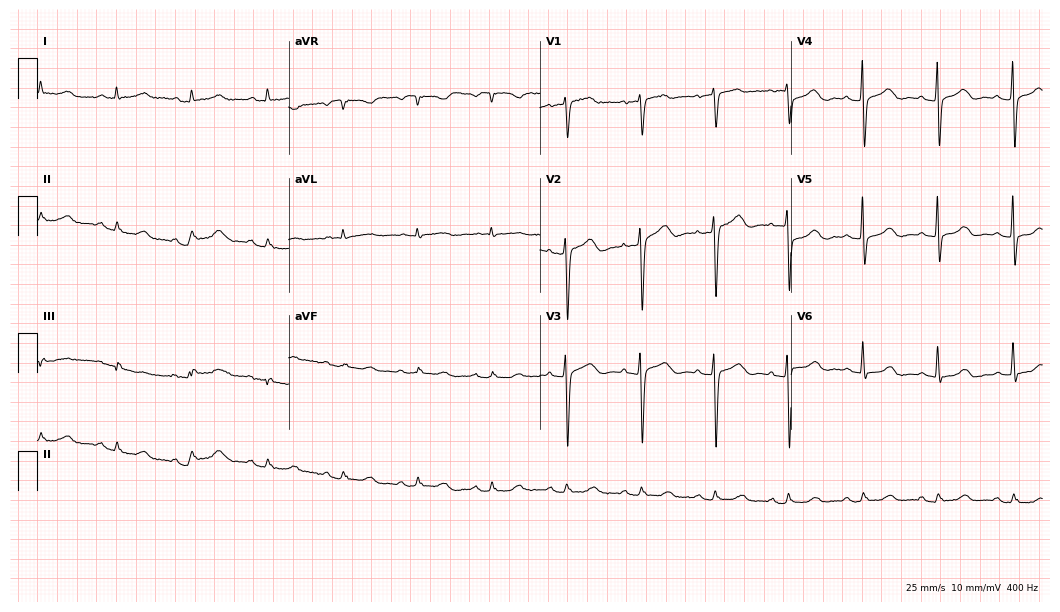
Resting 12-lead electrocardiogram. Patient: a female, 81 years old. Read as a normal ECG.